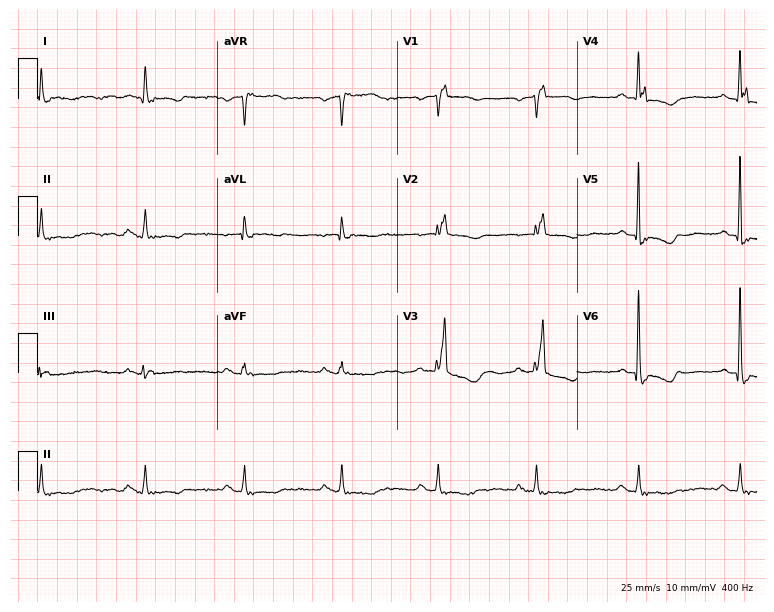
12-lead ECG (7.3-second recording at 400 Hz) from a female patient, 81 years old. Findings include right bundle branch block.